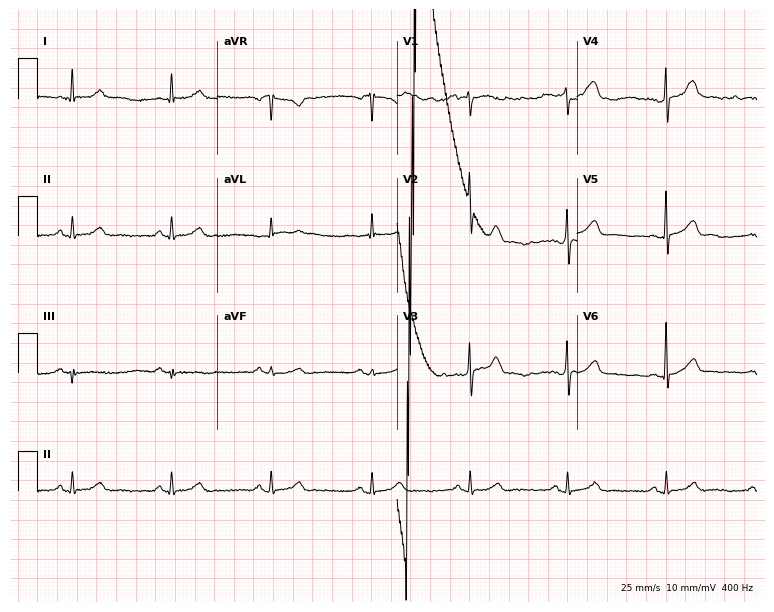
ECG (7.3-second recording at 400 Hz) — a 65-year-old man. Screened for six findings — first-degree AV block, right bundle branch block (RBBB), left bundle branch block (LBBB), sinus bradycardia, atrial fibrillation (AF), sinus tachycardia — none is recorded. Findings outside these six are not listed.